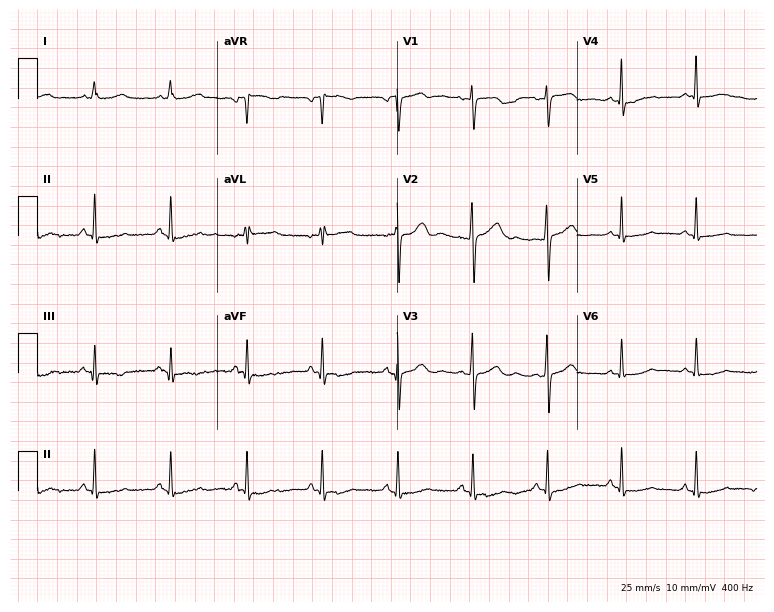
12-lead ECG from a 45-year-old female patient. No first-degree AV block, right bundle branch block, left bundle branch block, sinus bradycardia, atrial fibrillation or sinus tachycardia recorded for this tracing.